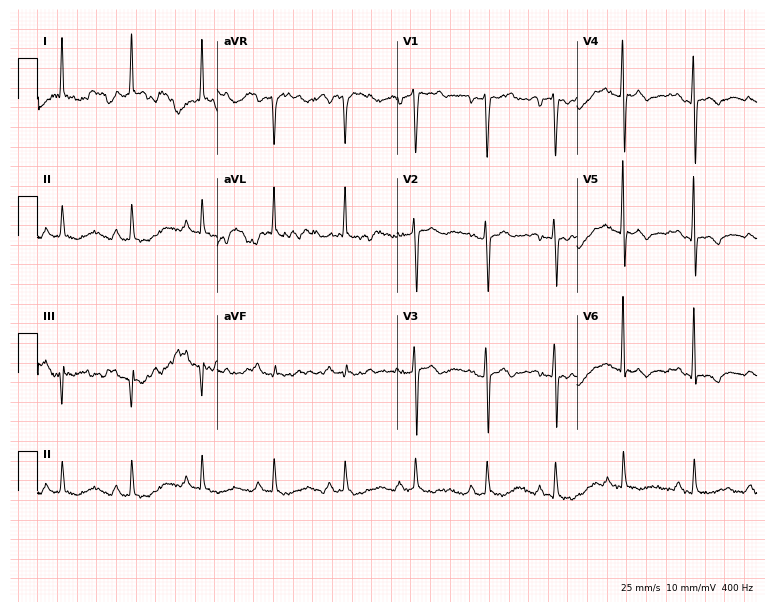
Resting 12-lead electrocardiogram (7.3-second recording at 400 Hz). Patient: a 79-year-old female. None of these six findings is recorded: first-degree AV block, right bundle branch block (RBBB), left bundle branch block (LBBB), sinus bradycardia, atrial fibrillation (AF), sinus tachycardia. Other findings, if any, are not listed.